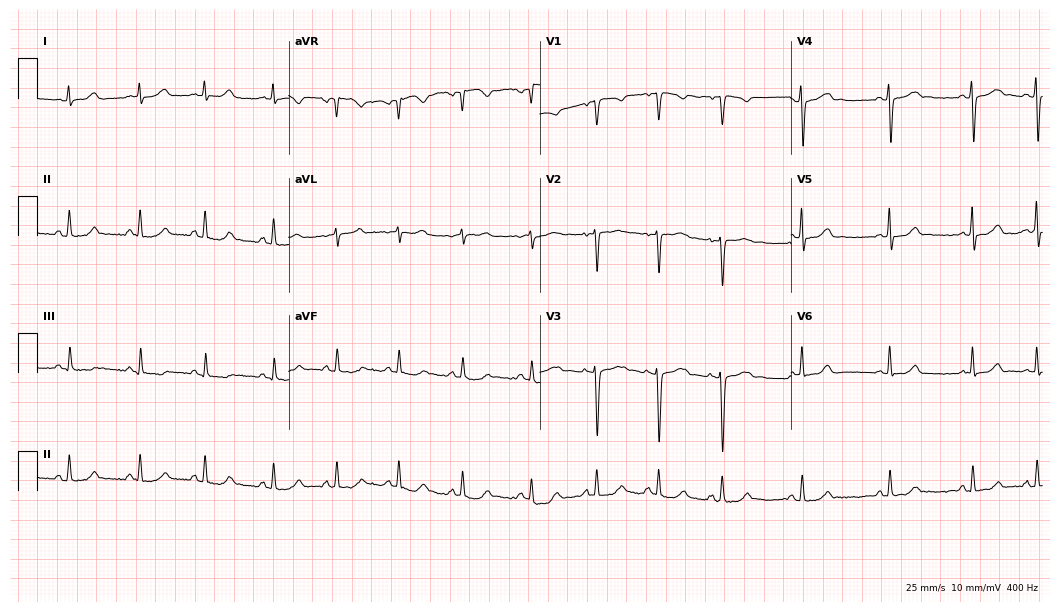
12-lead ECG from a female, 19 years old. Labelled as a normal ECG.